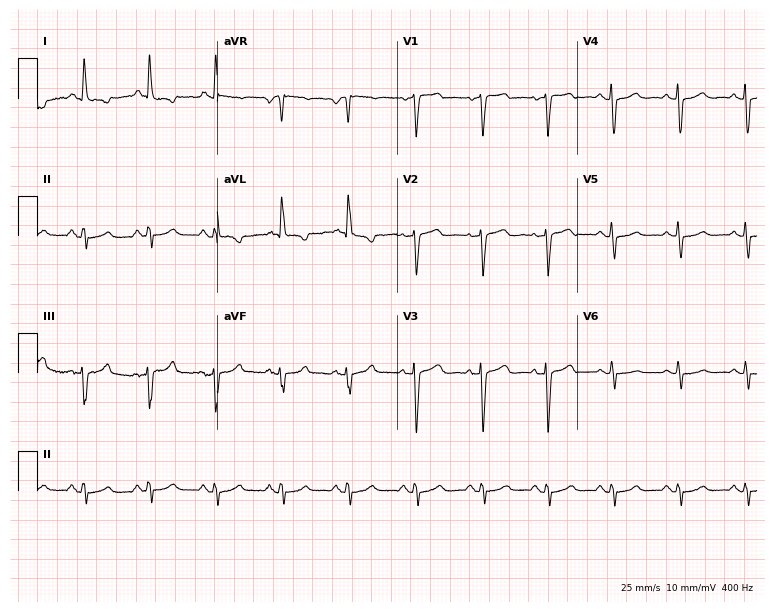
Resting 12-lead electrocardiogram (7.3-second recording at 400 Hz). Patient: a woman, 67 years old. None of these six findings is recorded: first-degree AV block, right bundle branch block, left bundle branch block, sinus bradycardia, atrial fibrillation, sinus tachycardia.